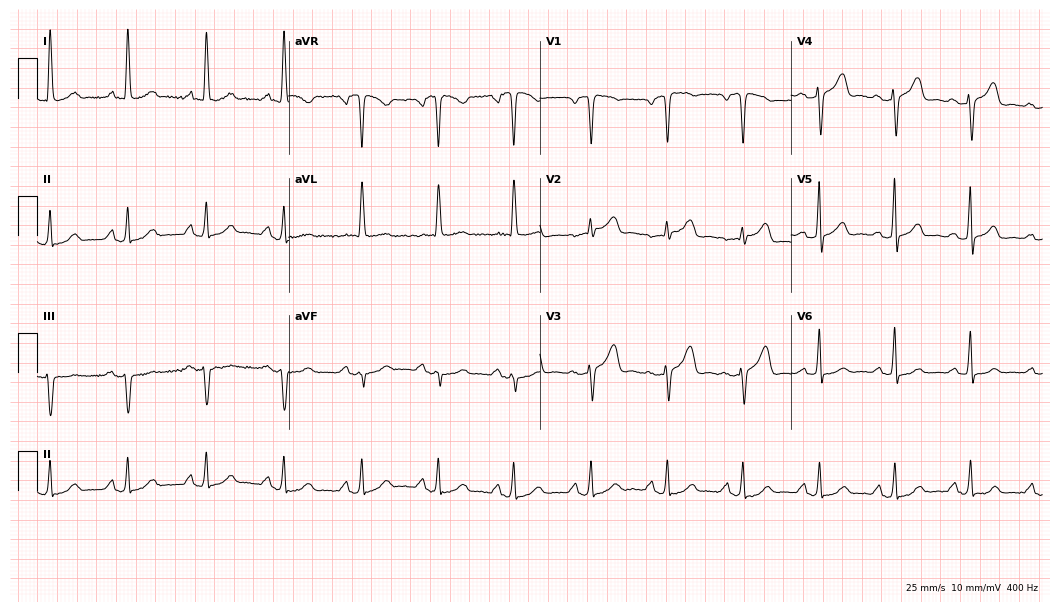
Resting 12-lead electrocardiogram. Patient: a 64-year-old female. Read as a normal ECG.